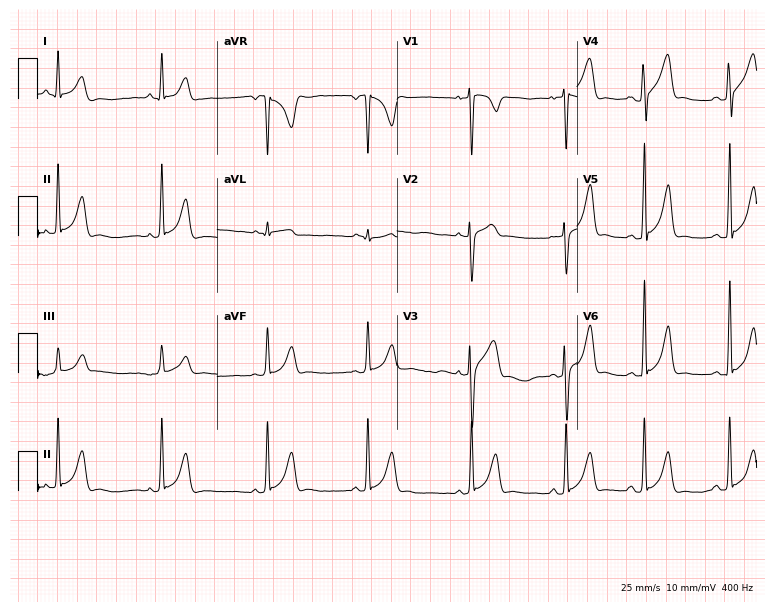
Electrocardiogram (7.3-second recording at 400 Hz), a 17-year-old female patient. Of the six screened findings (first-degree AV block, right bundle branch block (RBBB), left bundle branch block (LBBB), sinus bradycardia, atrial fibrillation (AF), sinus tachycardia), none is recorded.